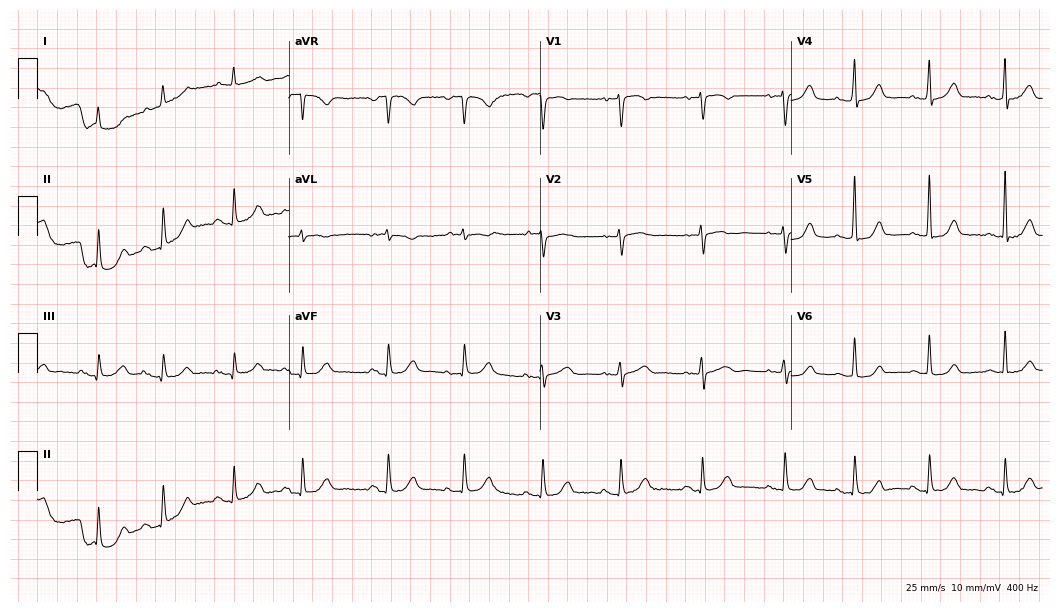
Standard 12-lead ECG recorded from an 81-year-old female (10.2-second recording at 400 Hz). None of these six findings is recorded: first-degree AV block, right bundle branch block (RBBB), left bundle branch block (LBBB), sinus bradycardia, atrial fibrillation (AF), sinus tachycardia. Findings outside these six are not listed.